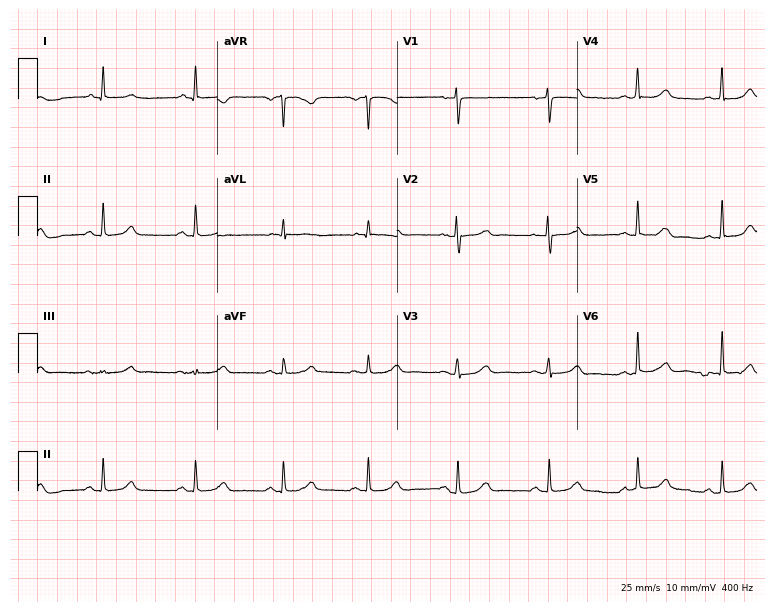
12-lead ECG from a 61-year-old female. Labelled as a normal ECG.